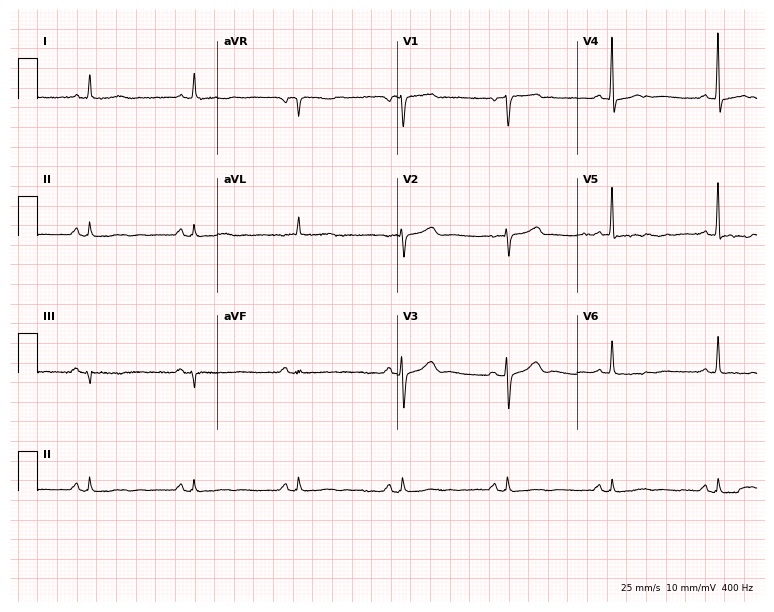
Electrocardiogram, a 79-year-old male patient. Of the six screened findings (first-degree AV block, right bundle branch block, left bundle branch block, sinus bradycardia, atrial fibrillation, sinus tachycardia), none is recorded.